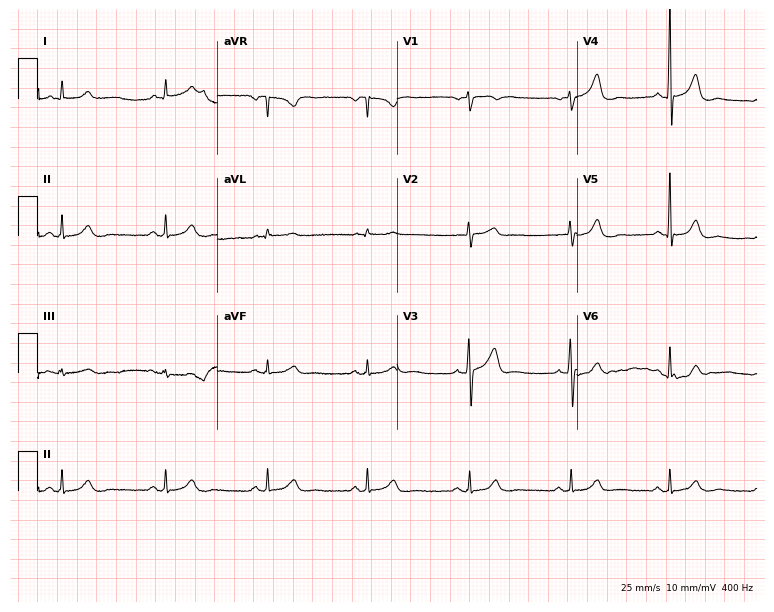
12-lead ECG from a man, 65 years old. Labelled as a normal ECG.